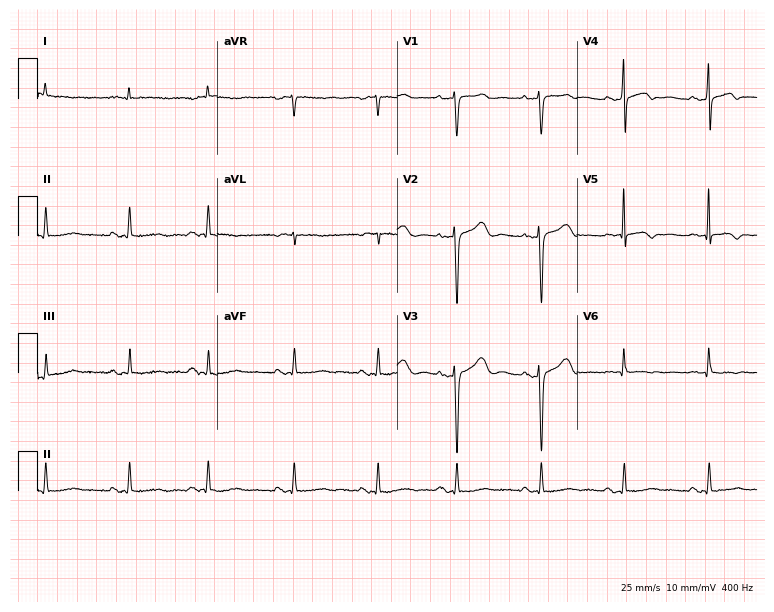
Standard 12-lead ECG recorded from a 74-year-old woman (7.3-second recording at 400 Hz). None of these six findings is recorded: first-degree AV block, right bundle branch block, left bundle branch block, sinus bradycardia, atrial fibrillation, sinus tachycardia.